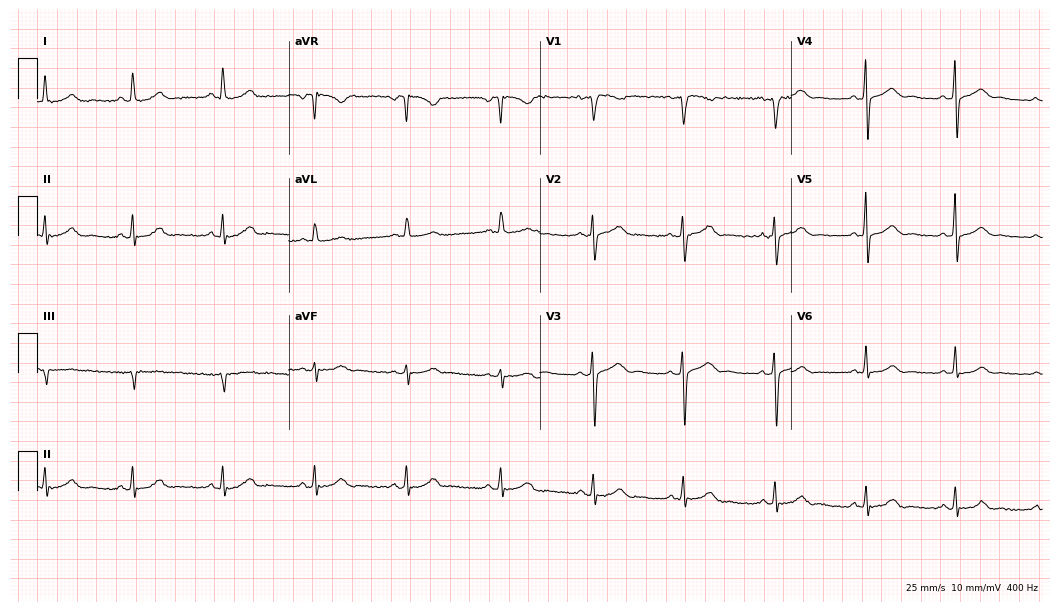
Resting 12-lead electrocardiogram (10.2-second recording at 400 Hz). Patient: a woman, 46 years old. Read as a normal ECG.